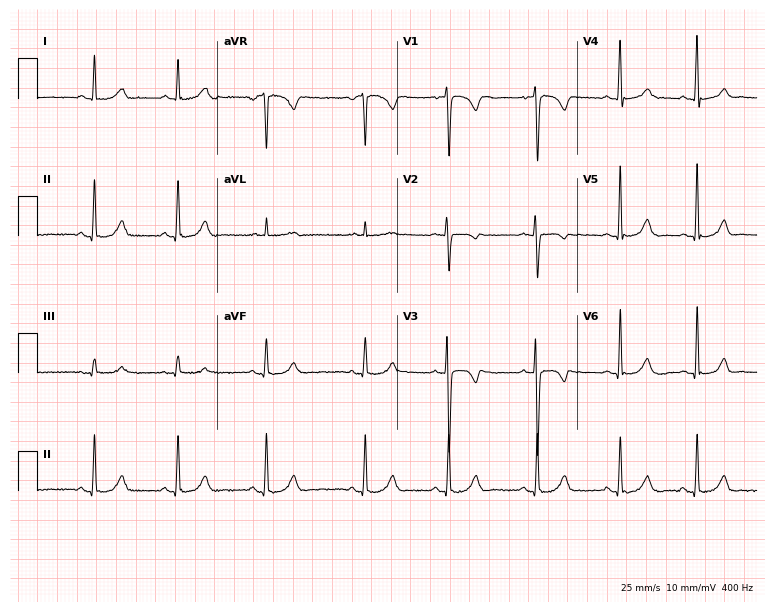
12-lead ECG (7.3-second recording at 400 Hz) from a 26-year-old female. Labelled as a normal ECG.